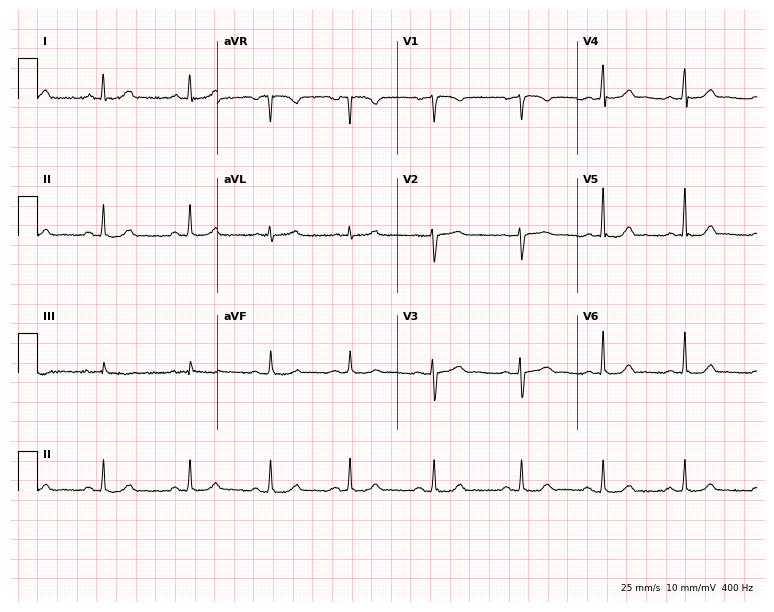
12-lead ECG (7.3-second recording at 400 Hz) from a 33-year-old female patient. Labelled as a normal ECG.